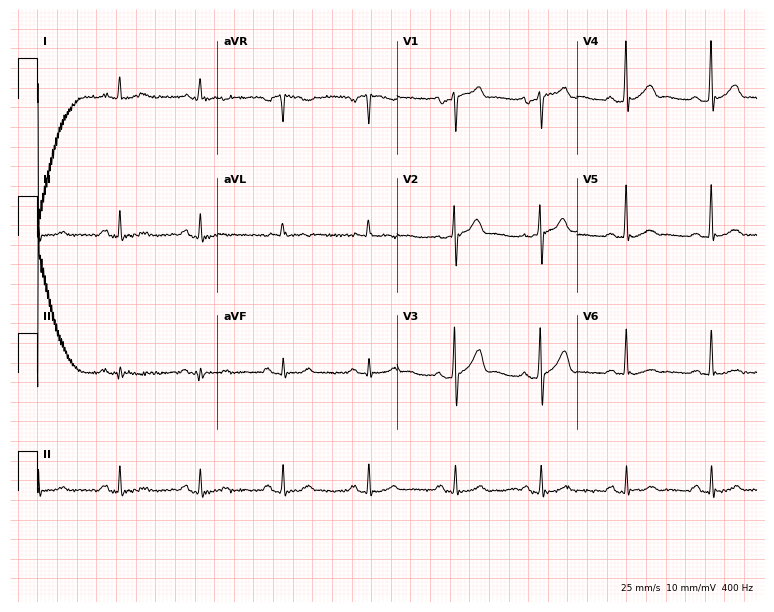
12-lead ECG (7.3-second recording at 400 Hz) from a male, 62 years old. Labelled as a normal ECG.